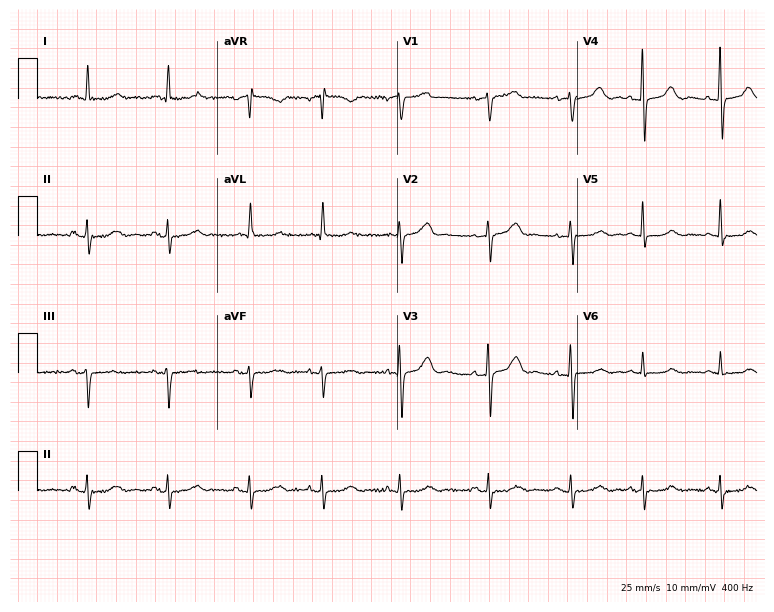
12-lead ECG from a female, 71 years old (7.3-second recording at 400 Hz). Recorded interpretation: within normal limits.